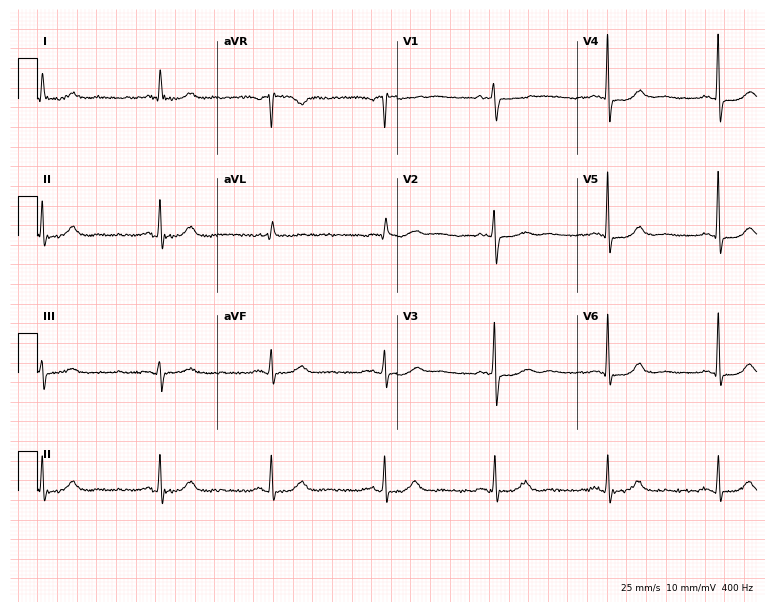
Standard 12-lead ECG recorded from a 74-year-old female patient (7.3-second recording at 400 Hz). Read as a normal ECG.